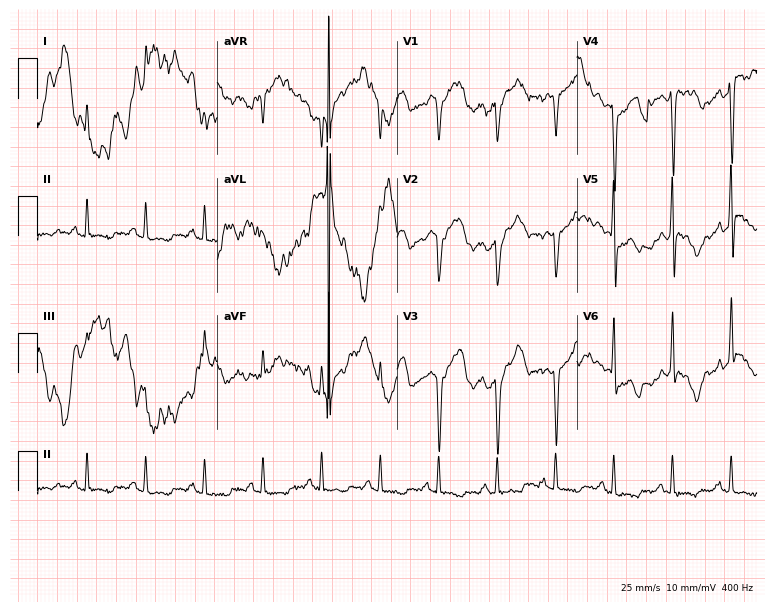
Standard 12-lead ECG recorded from a 68-year-old female (7.3-second recording at 400 Hz). None of these six findings is recorded: first-degree AV block, right bundle branch block, left bundle branch block, sinus bradycardia, atrial fibrillation, sinus tachycardia.